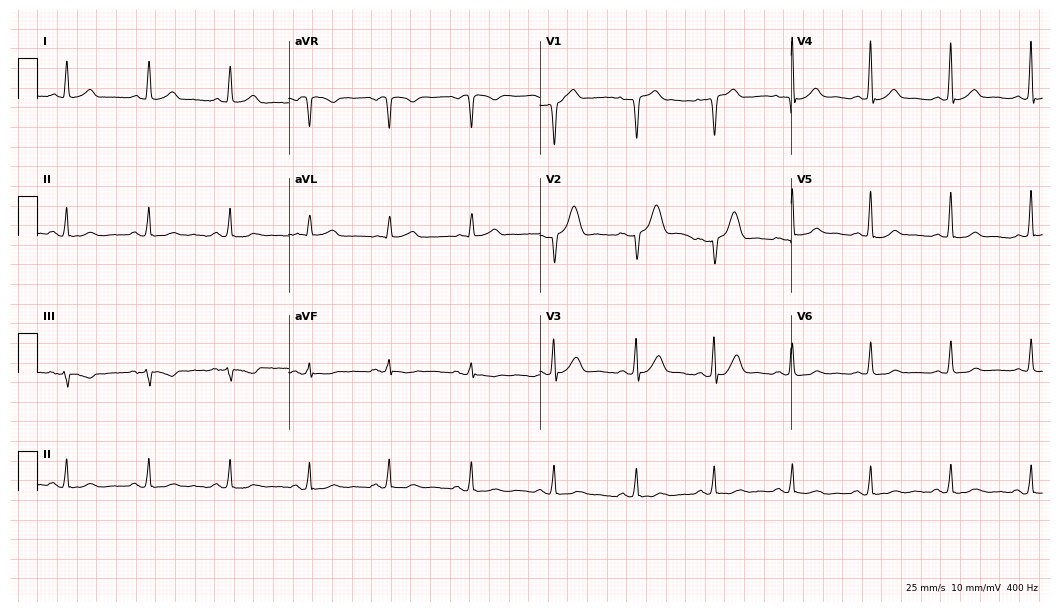
12-lead ECG from a female patient, 56 years old (10.2-second recording at 400 Hz). Recorded interpretation: within normal limits.